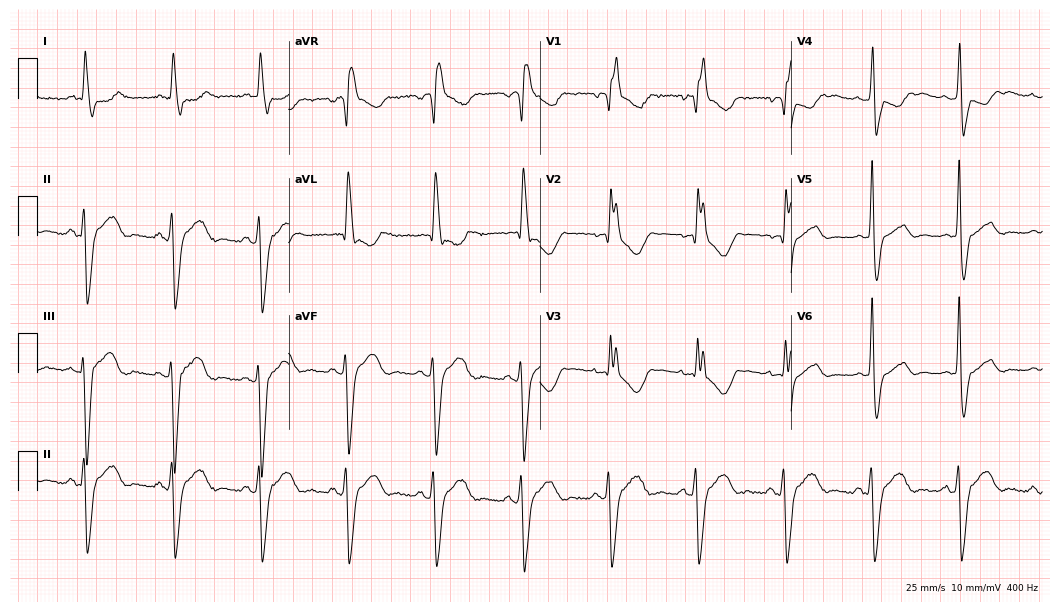
ECG — a female, 79 years old. Findings include right bundle branch block.